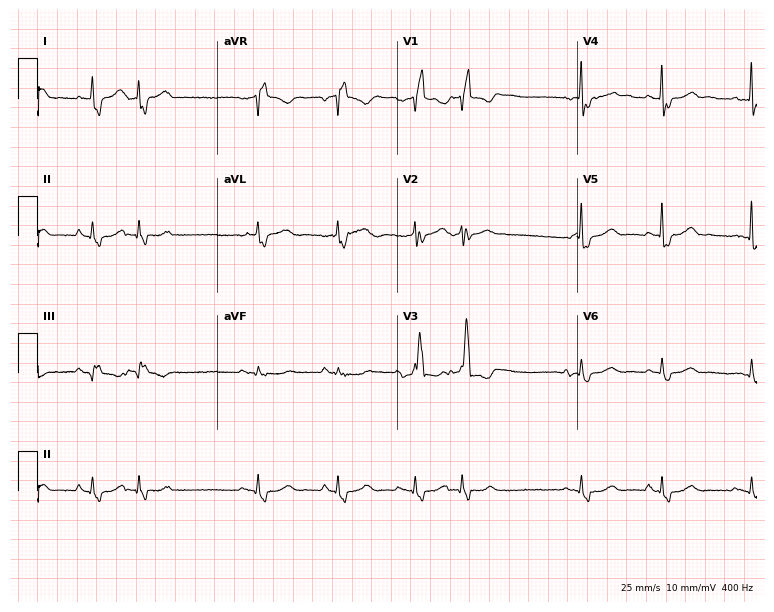
12-lead ECG from an 83-year-old male patient. Shows right bundle branch block.